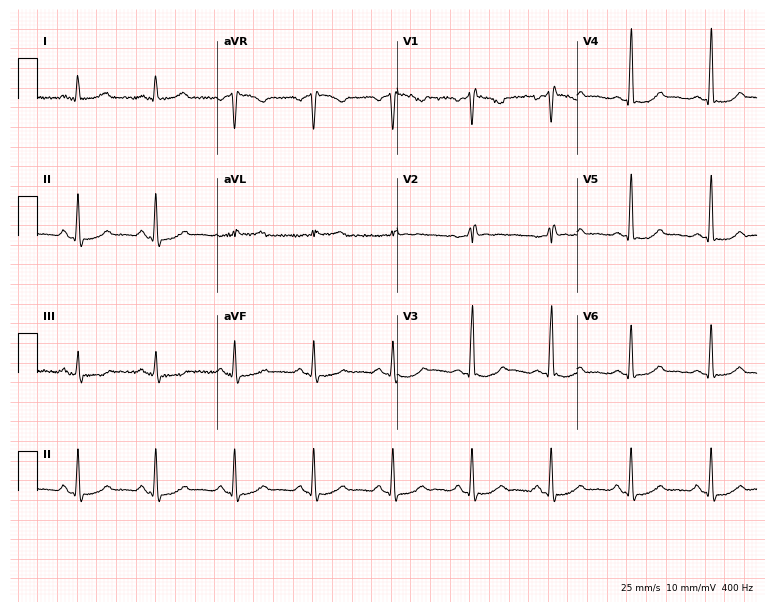
Standard 12-lead ECG recorded from a 59-year-old woman. None of these six findings is recorded: first-degree AV block, right bundle branch block (RBBB), left bundle branch block (LBBB), sinus bradycardia, atrial fibrillation (AF), sinus tachycardia. Findings outside these six are not listed.